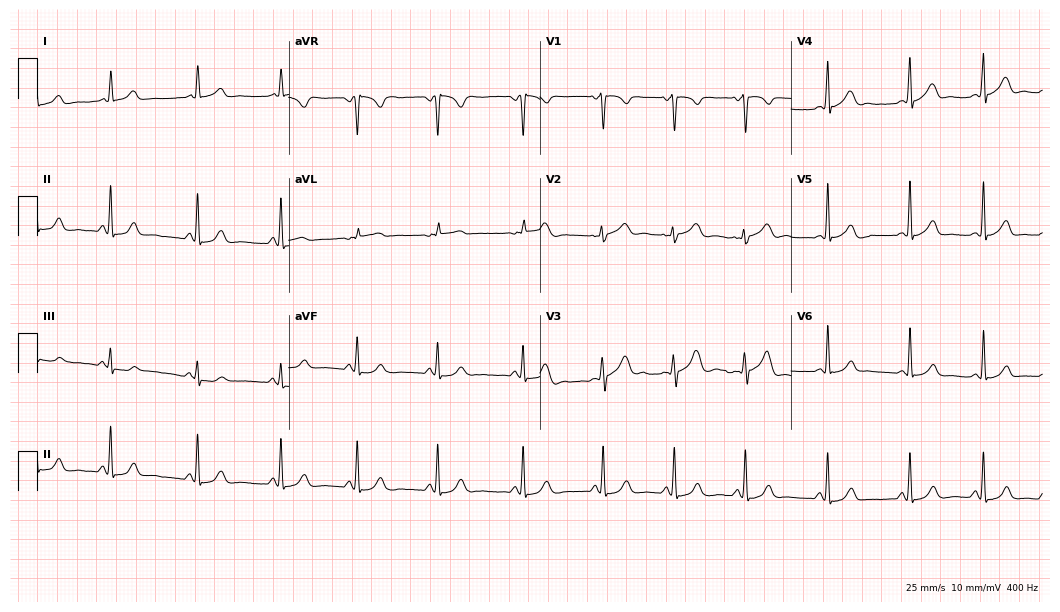
12-lead ECG (10.2-second recording at 400 Hz) from a female patient, 19 years old. Screened for six findings — first-degree AV block, right bundle branch block, left bundle branch block, sinus bradycardia, atrial fibrillation, sinus tachycardia — none is recorded. Only these six findings were labelled.